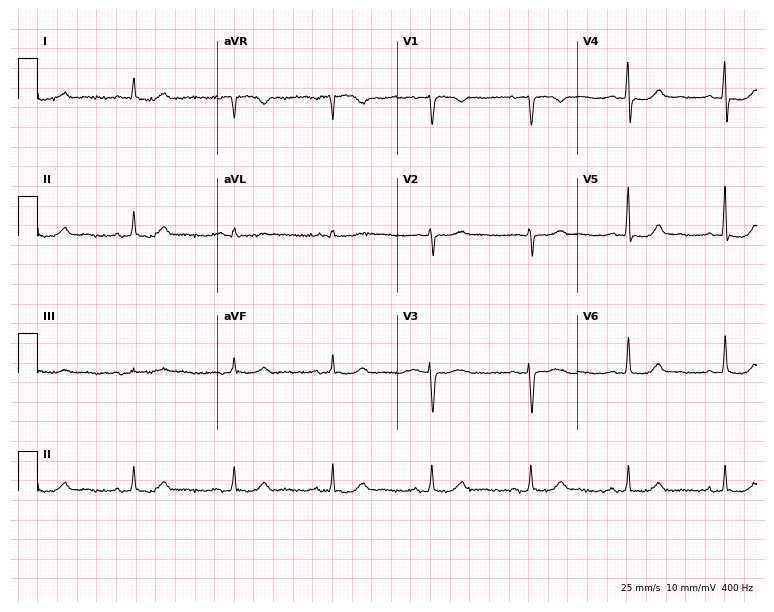
12-lead ECG from a 56-year-old female. Labelled as a normal ECG.